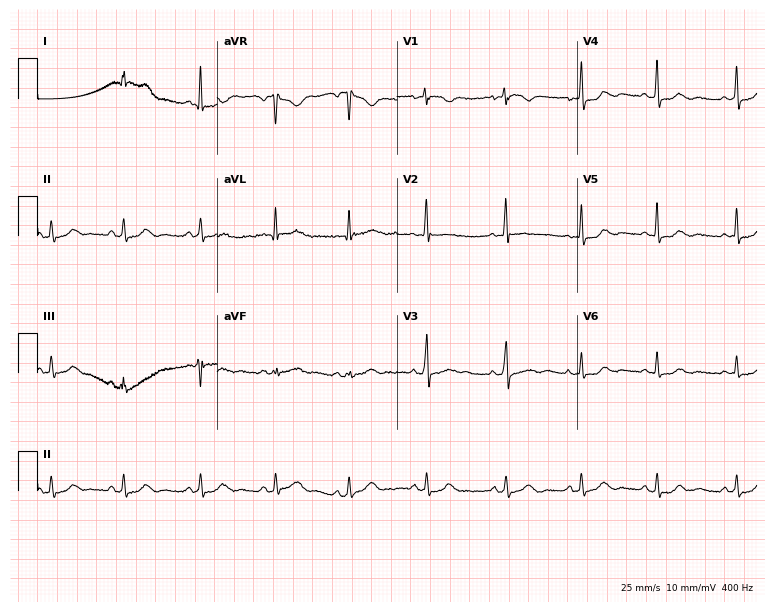
Standard 12-lead ECG recorded from a 46-year-old woman. Read as a normal ECG.